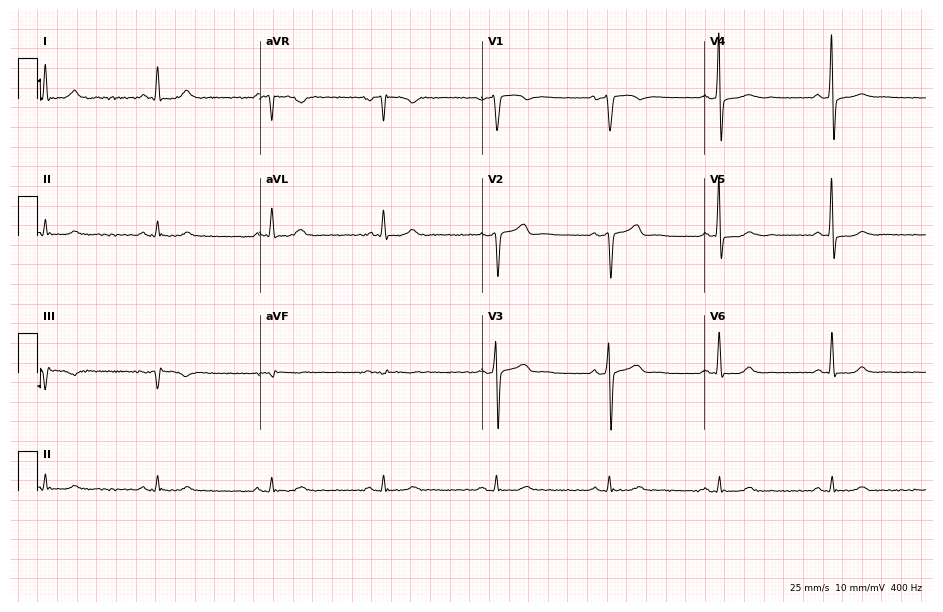
Electrocardiogram, a 70-year-old man. Overall reading on record: normal ECG.